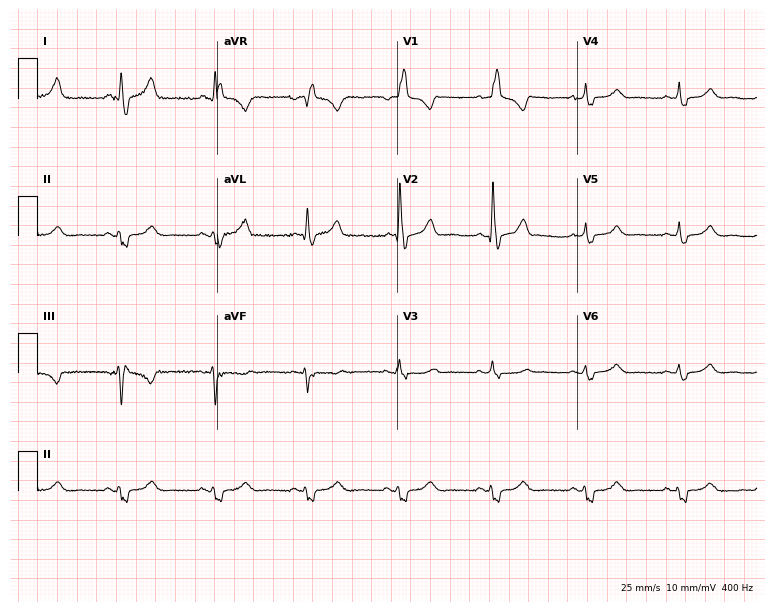
Electrocardiogram, a 52-year-old female. Interpretation includes right bundle branch block.